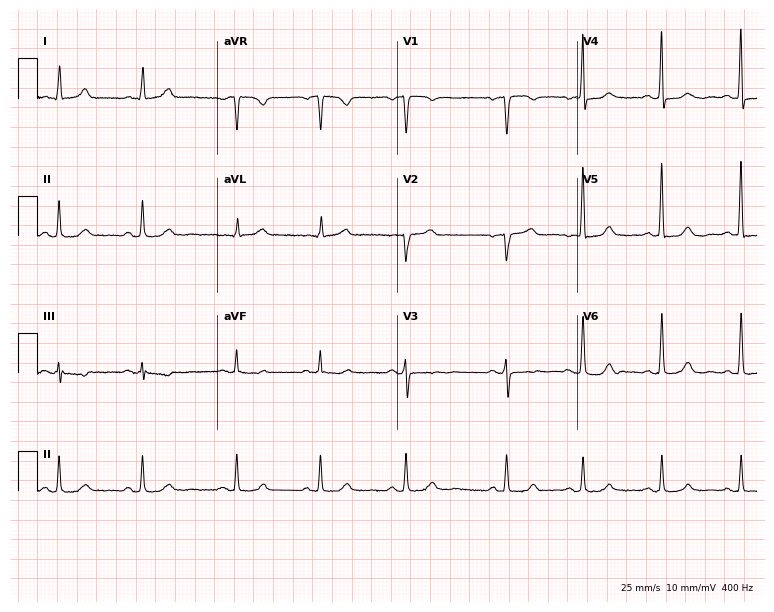
Resting 12-lead electrocardiogram. Patient: a woman, 73 years old. None of these six findings is recorded: first-degree AV block, right bundle branch block, left bundle branch block, sinus bradycardia, atrial fibrillation, sinus tachycardia. Findings outside these six are not listed.